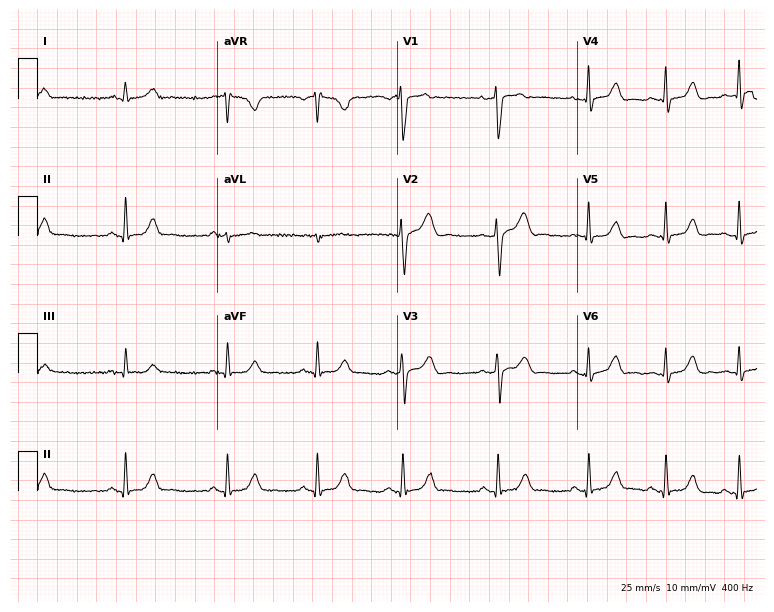
12-lead ECG (7.3-second recording at 400 Hz) from a 41-year-old female patient. Labelled as a normal ECG.